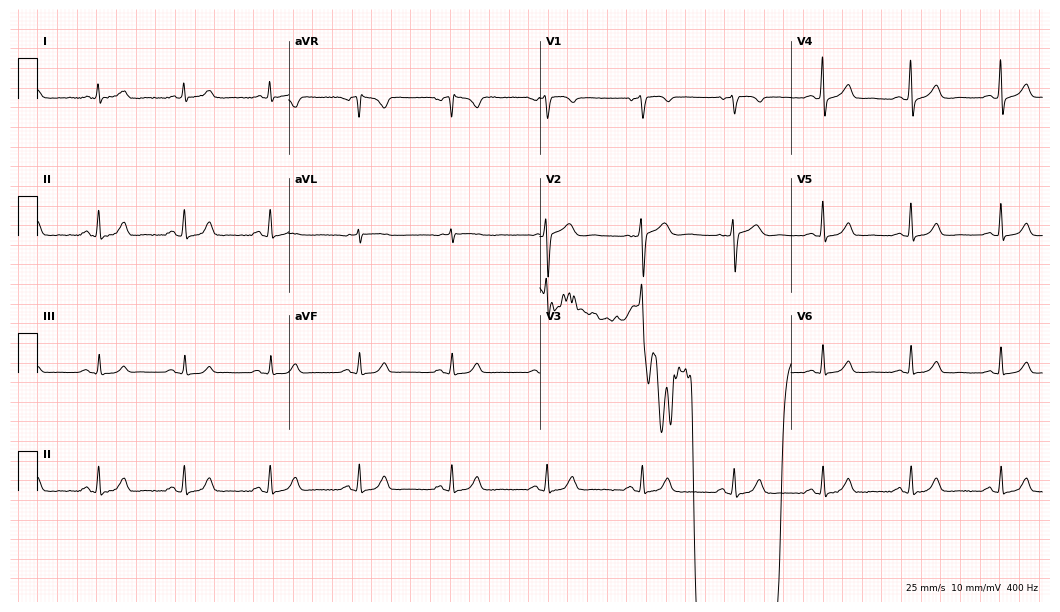
Standard 12-lead ECG recorded from a 51-year-old male patient (10.2-second recording at 400 Hz). Read as a normal ECG.